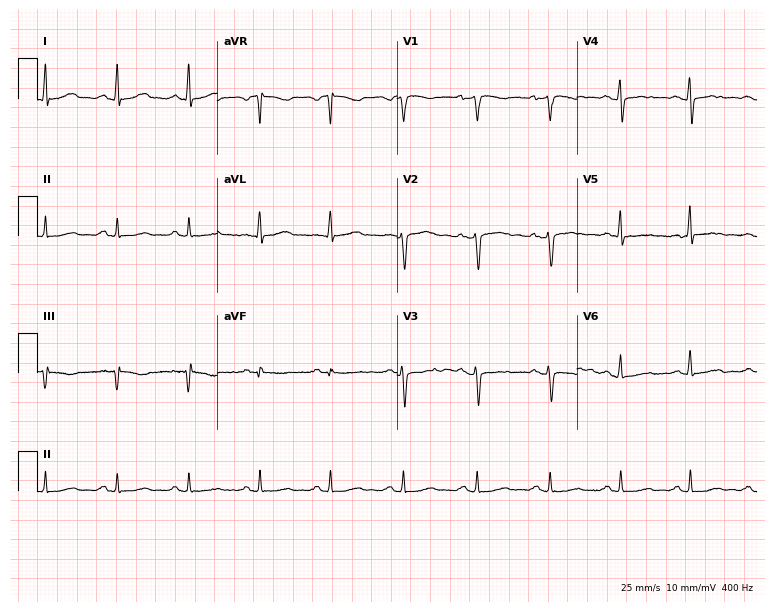
ECG (7.3-second recording at 400 Hz) — a woman, 54 years old. Screened for six findings — first-degree AV block, right bundle branch block, left bundle branch block, sinus bradycardia, atrial fibrillation, sinus tachycardia — none is recorded.